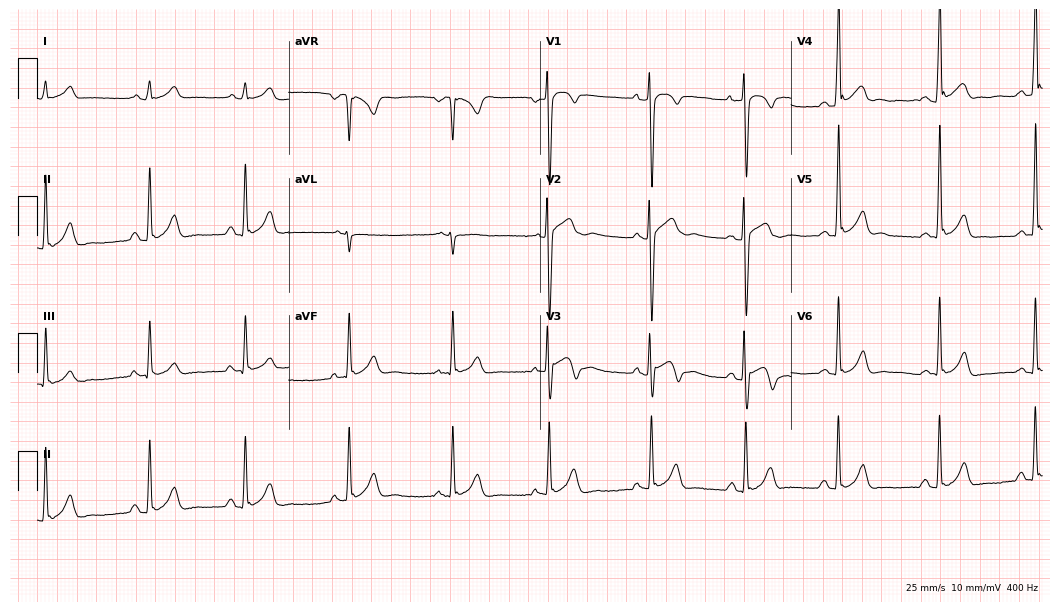
ECG — a male patient, 18 years old. Labelled as a normal ECG.